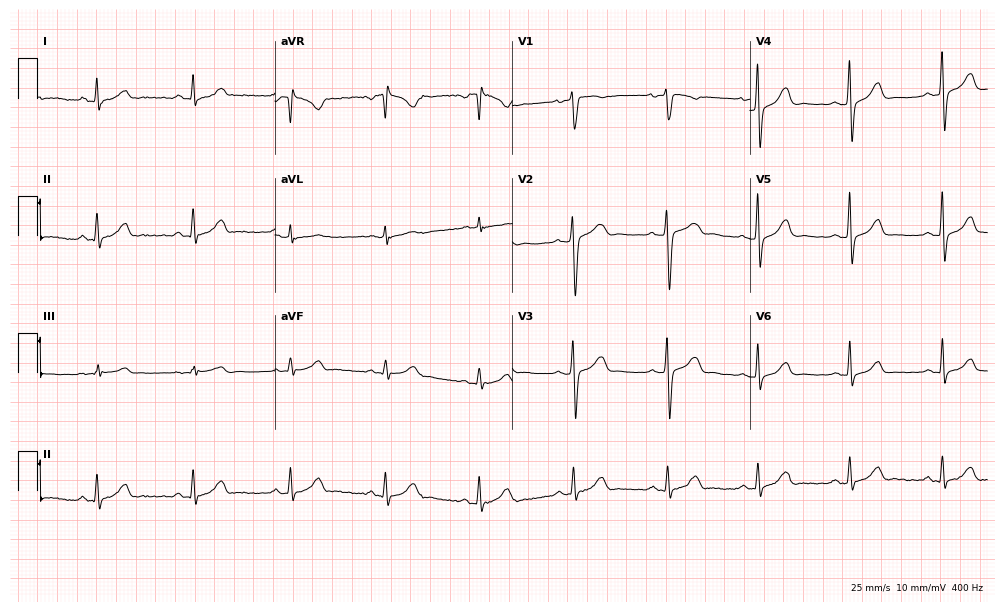
Electrocardiogram, a woman, 34 years old. Overall reading on record: normal ECG.